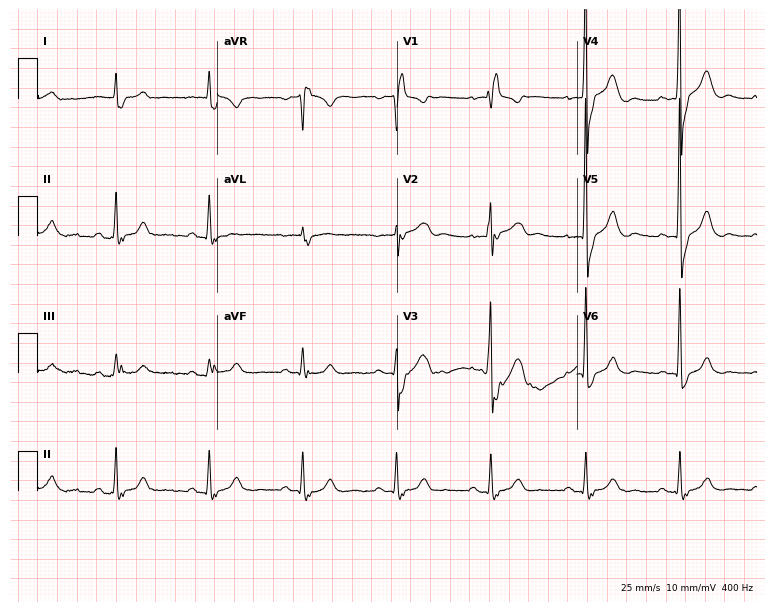
12-lead ECG from a male patient, 83 years old. Shows right bundle branch block.